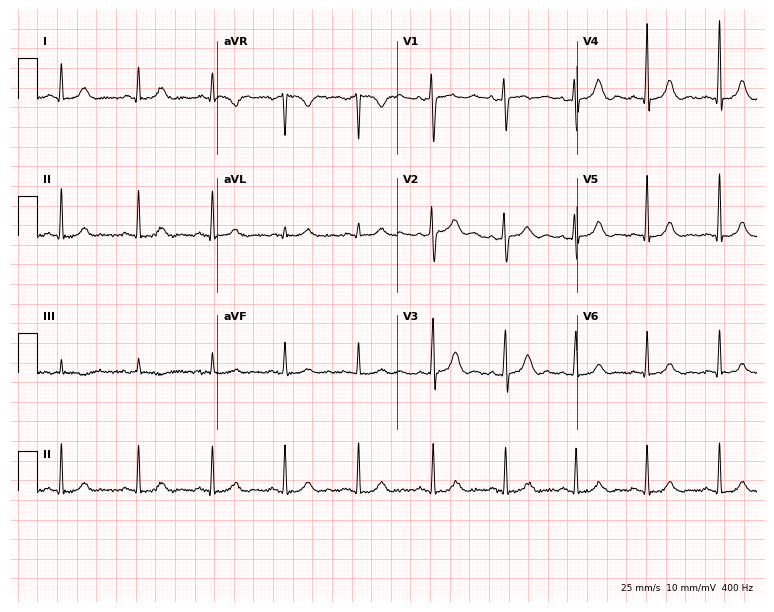
12-lead ECG from a female patient, 46 years old. Labelled as a normal ECG.